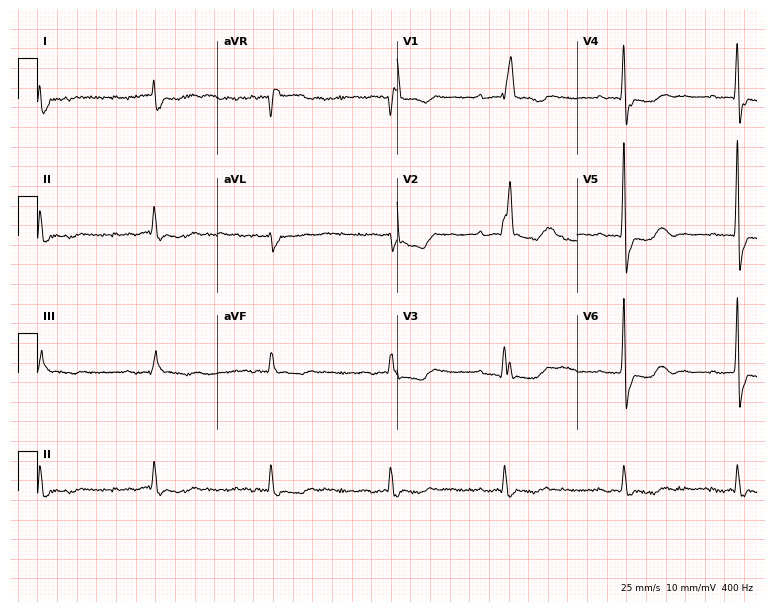
12-lead ECG (7.3-second recording at 400 Hz) from a male patient, 84 years old. Findings include first-degree AV block, right bundle branch block.